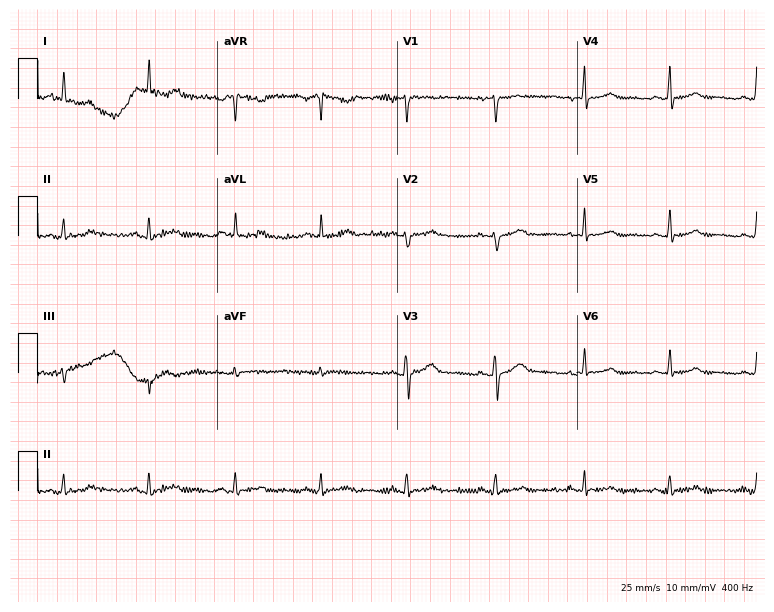
Resting 12-lead electrocardiogram. Patient: a 23-year-old female. None of these six findings is recorded: first-degree AV block, right bundle branch block, left bundle branch block, sinus bradycardia, atrial fibrillation, sinus tachycardia. Other findings, if any, are not listed.